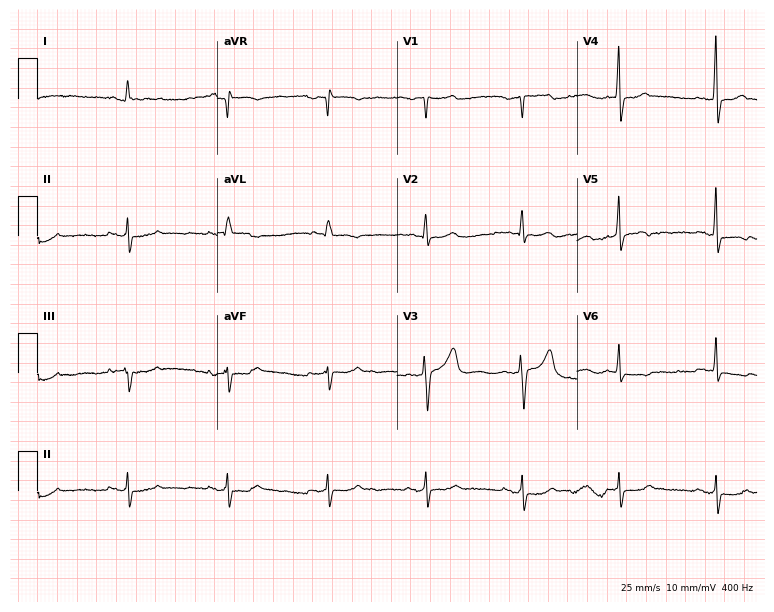
12-lead ECG (7.3-second recording at 400 Hz) from a 57-year-old male patient. Screened for six findings — first-degree AV block, right bundle branch block (RBBB), left bundle branch block (LBBB), sinus bradycardia, atrial fibrillation (AF), sinus tachycardia — none is recorded. Findings outside these six are not listed.